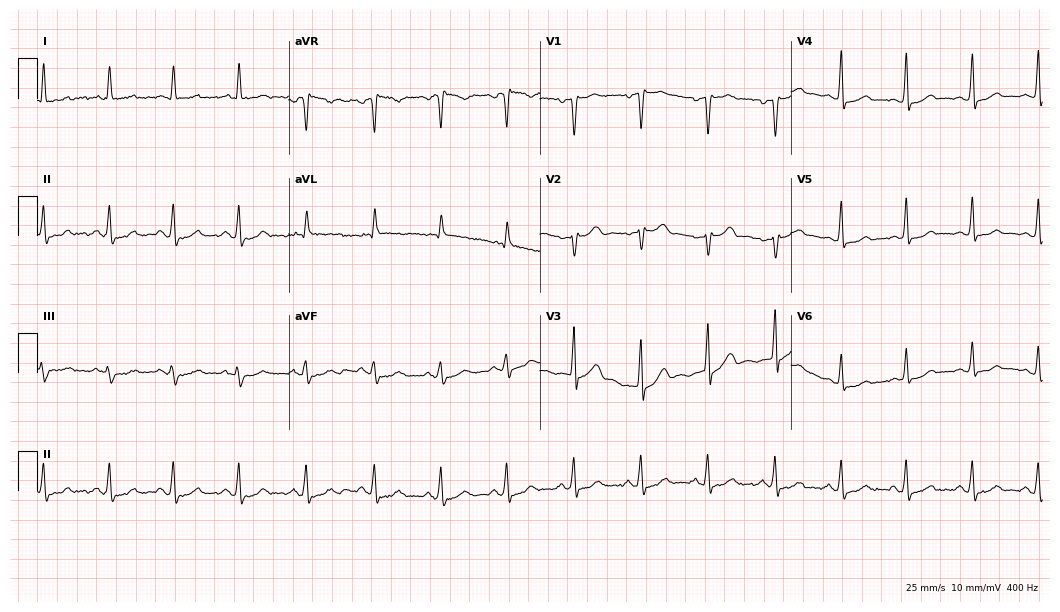
Resting 12-lead electrocardiogram (10.2-second recording at 400 Hz). Patient: a 42-year-old woman. Read as a normal ECG.